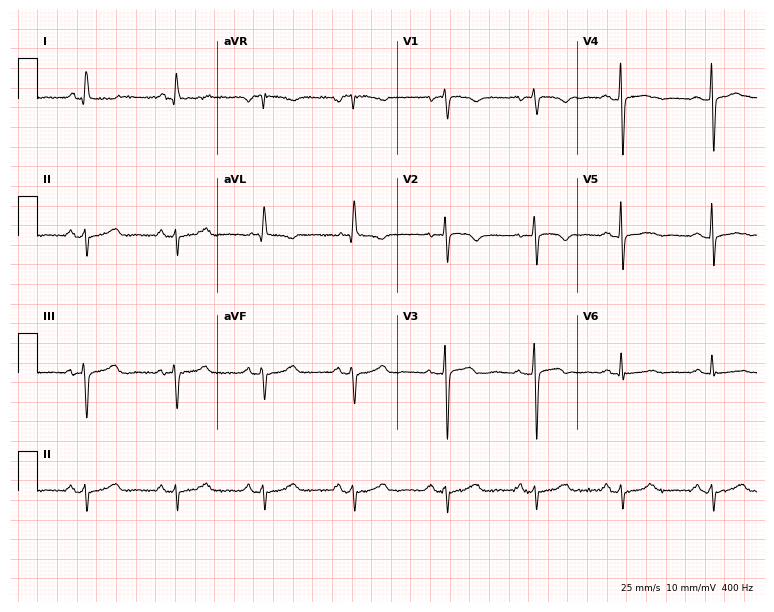
12-lead ECG from a 58-year-old female. Screened for six findings — first-degree AV block, right bundle branch block, left bundle branch block, sinus bradycardia, atrial fibrillation, sinus tachycardia — none is recorded.